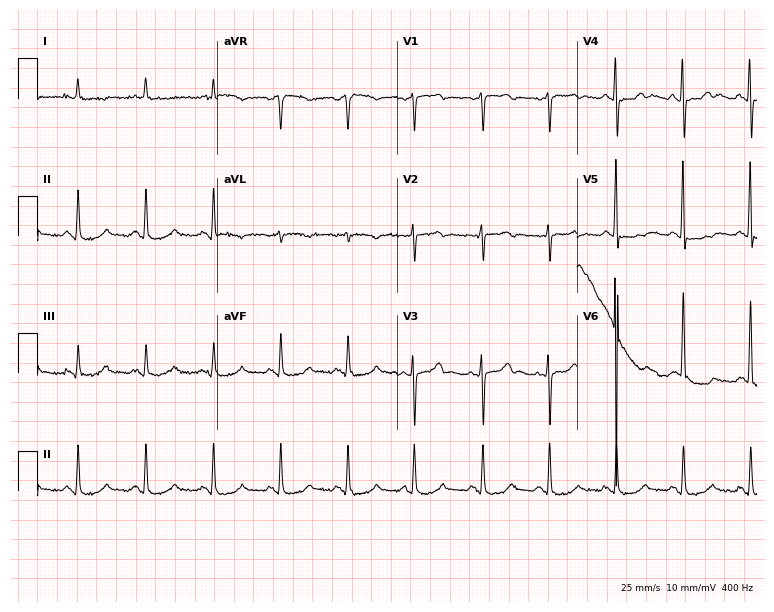
Electrocardiogram, a woman, 84 years old. Of the six screened findings (first-degree AV block, right bundle branch block, left bundle branch block, sinus bradycardia, atrial fibrillation, sinus tachycardia), none is recorded.